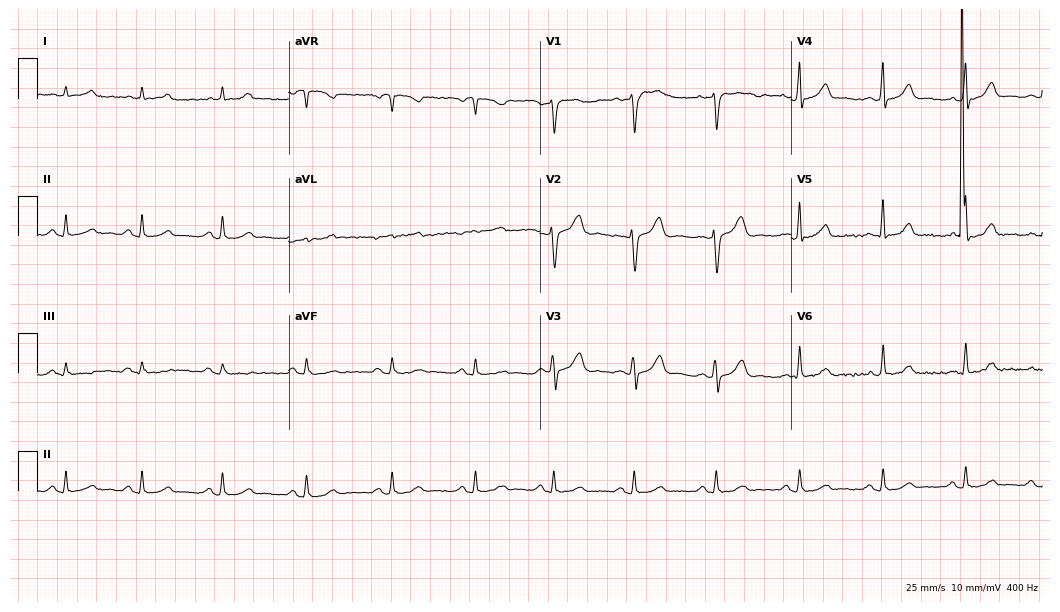
12-lead ECG from a woman, 39 years old (10.2-second recording at 400 Hz). Recorded interpretation: within normal limits.